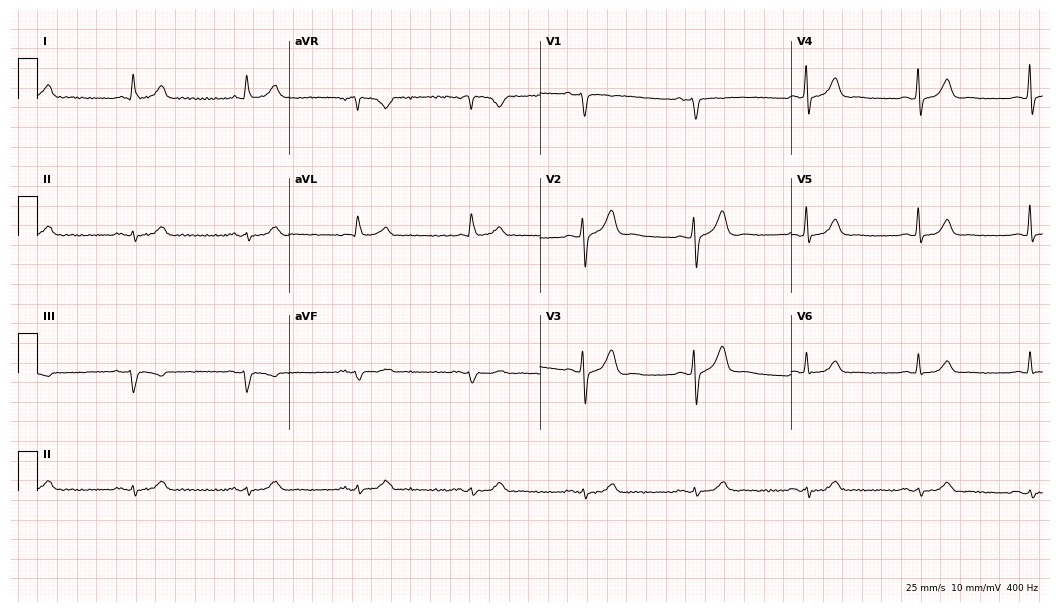
Electrocardiogram, a 70-year-old male. Of the six screened findings (first-degree AV block, right bundle branch block, left bundle branch block, sinus bradycardia, atrial fibrillation, sinus tachycardia), none is recorded. Other findings, if any, are not listed.